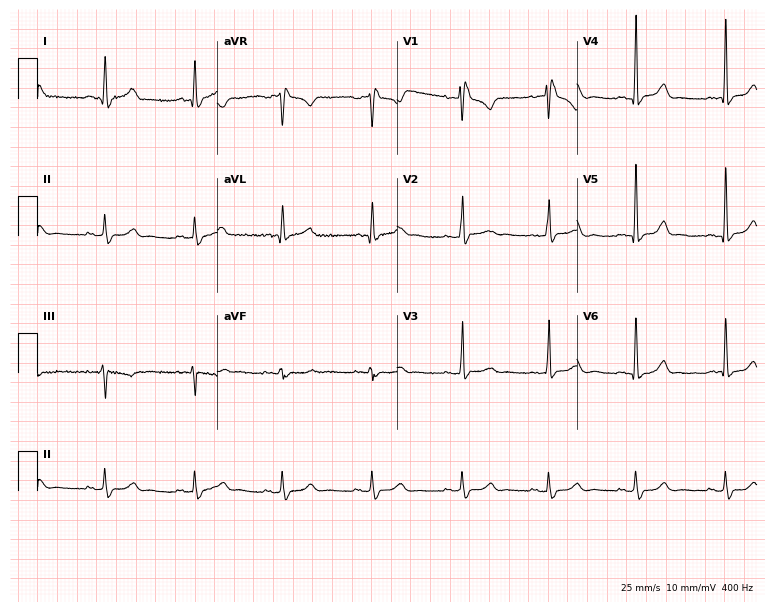
Standard 12-lead ECG recorded from a 51-year-old female. The tracing shows right bundle branch block.